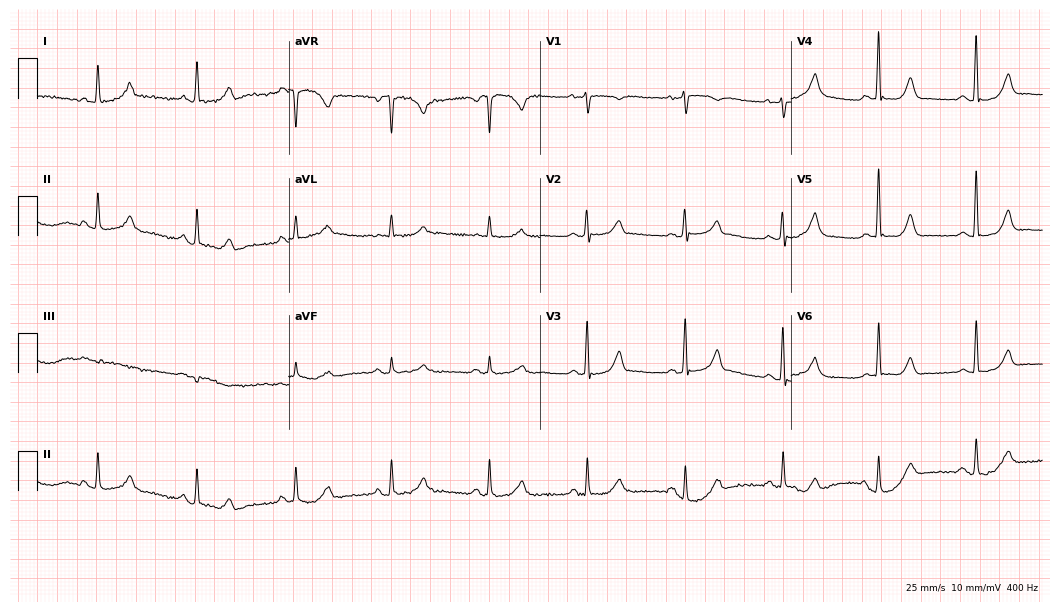
12-lead ECG from a woman, 77 years old. Recorded interpretation: within normal limits.